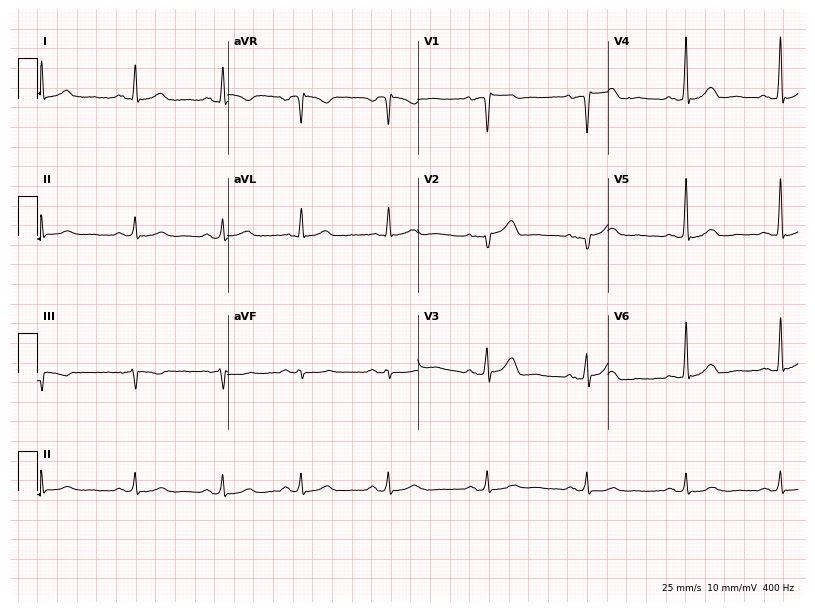
12-lead ECG from a male, 44 years old (7.8-second recording at 400 Hz). No first-degree AV block, right bundle branch block, left bundle branch block, sinus bradycardia, atrial fibrillation or sinus tachycardia recorded for this tracing. Other findings, if any, are not listed.